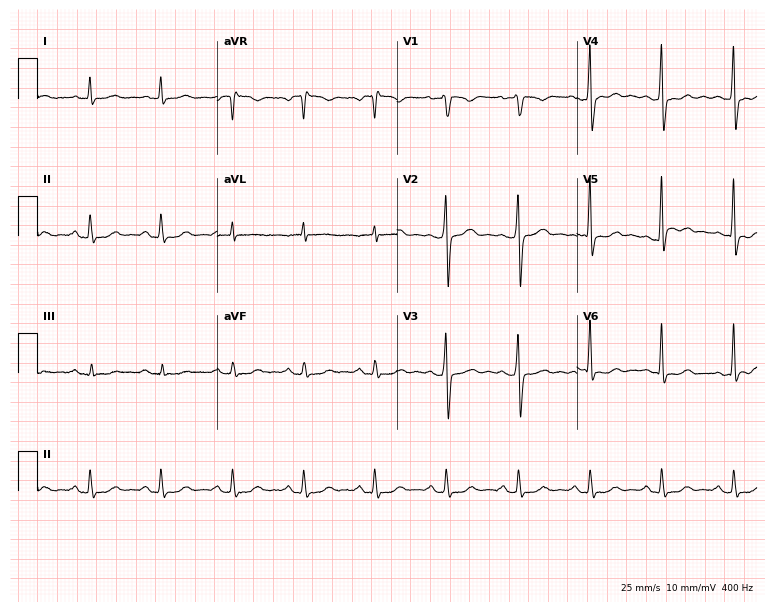
Resting 12-lead electrocardiogram. Patient: a male, 51 years old. None of these six findings is recorded: first-degree AV block, right bundle branch block, left bundle branch block, sinus bradycardia, atrial fibrillation, sinus tachycardia.